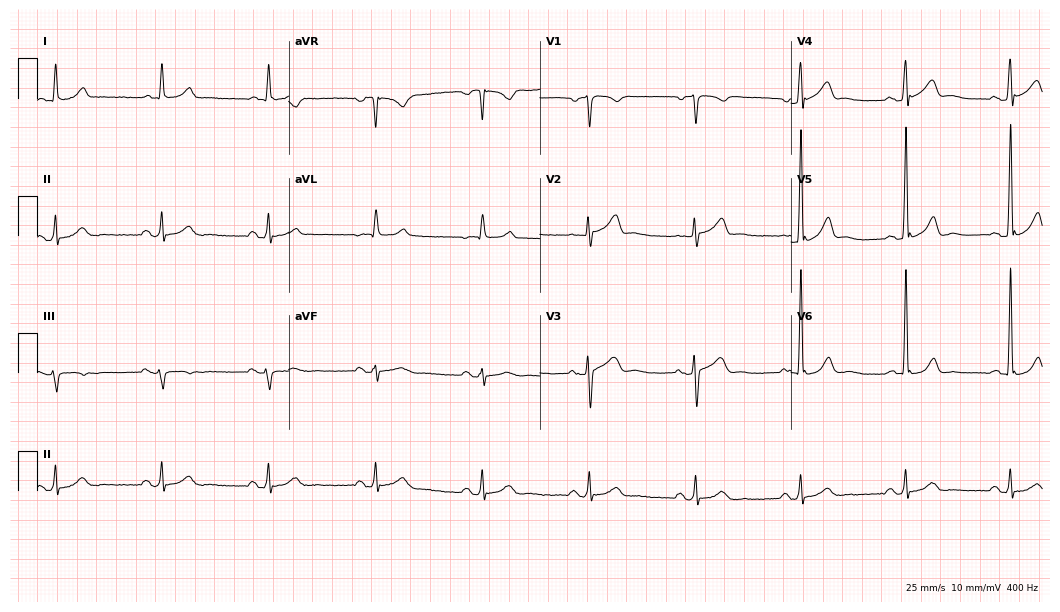
Resting 12-lead electrocardiogram. Patient: a man, 62 years old. Read as a normal ECG.